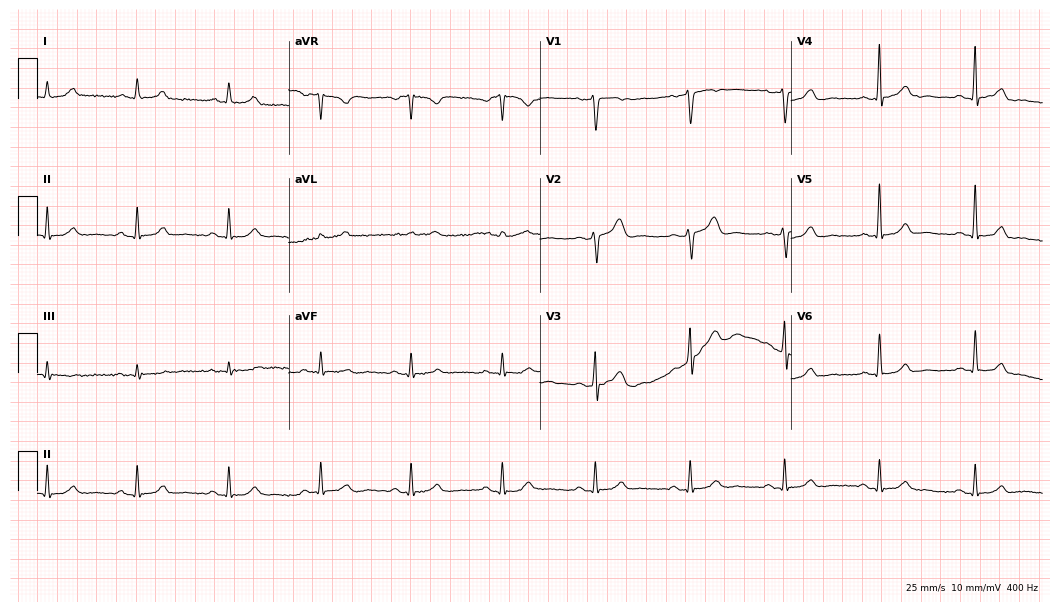
Resting 12-lead electrocardiogram. Patient: a woman, 49 years old. Read as a normal ECG.